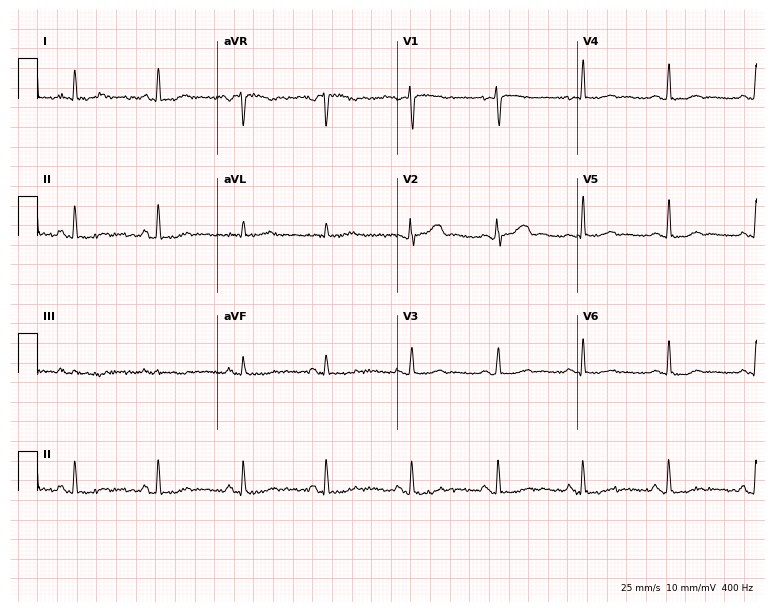
ECG — a female patient, 30 years old. Screened for six findings — first-degree AV block, right bundle branch block, left bundle branch block, sinus bradycardia, atrial fibrillation, sinus tachycardia — none is recorded.